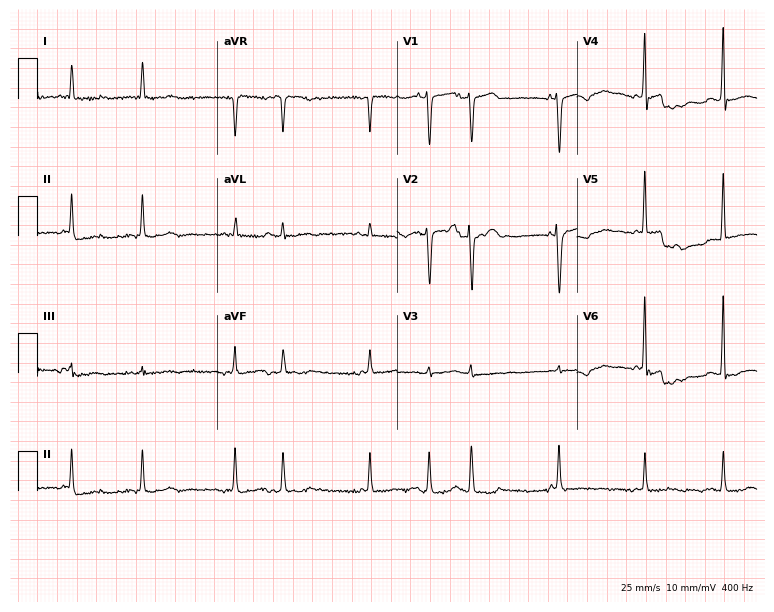
Resting 12-lead electrocardiogram (7.3-second recording at 400 Hz). Patient: a woman, 79 years old. None of these six findings is recorded: first-degree AV block, right bundle branch block, left bundle branch block, sinus bradycardia, atrial fibrillation, sinus tachycardia. Findings outside these six are not listed.